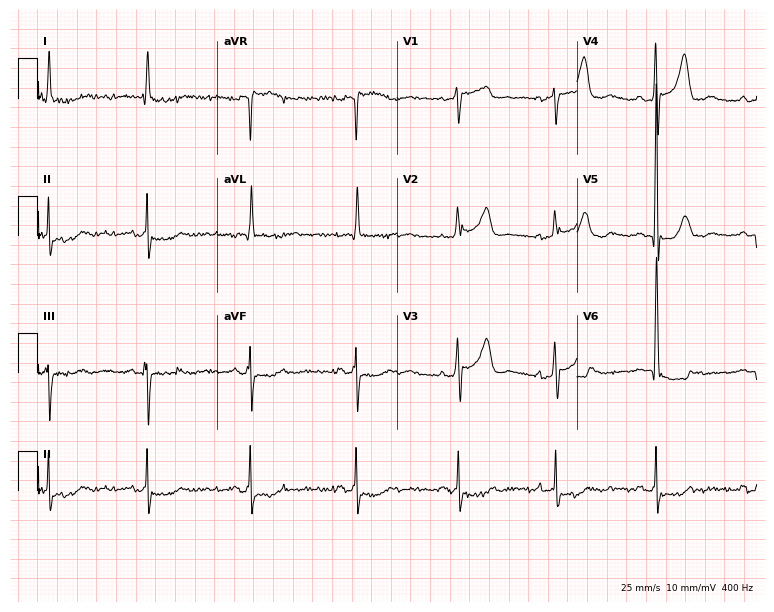
Electrocardiogram (7.3-second recording at 400 Hz), a 76-year-old woman. Of the six screened findings (first-degree AV block, right bundle branch block (RBBB), left bundle branch block (LBBB), sinus bradycardia, atrial fibrillation (AF), sinus tachycardia), none is recorded.